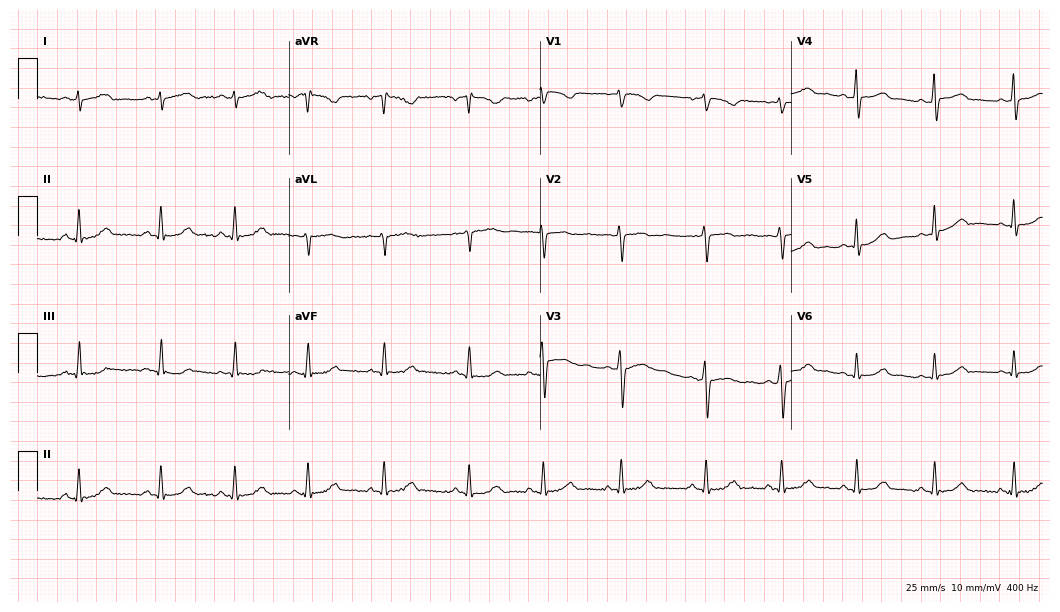
ECG — a 22-year-old woman. Screened for six findings — first-degree AV block, right bundle branch block, left bundle branch block, sinus bradycardia, atrial fibrillation, sinus tachycardia — none is recorded. Other findings, if any, are not listed.